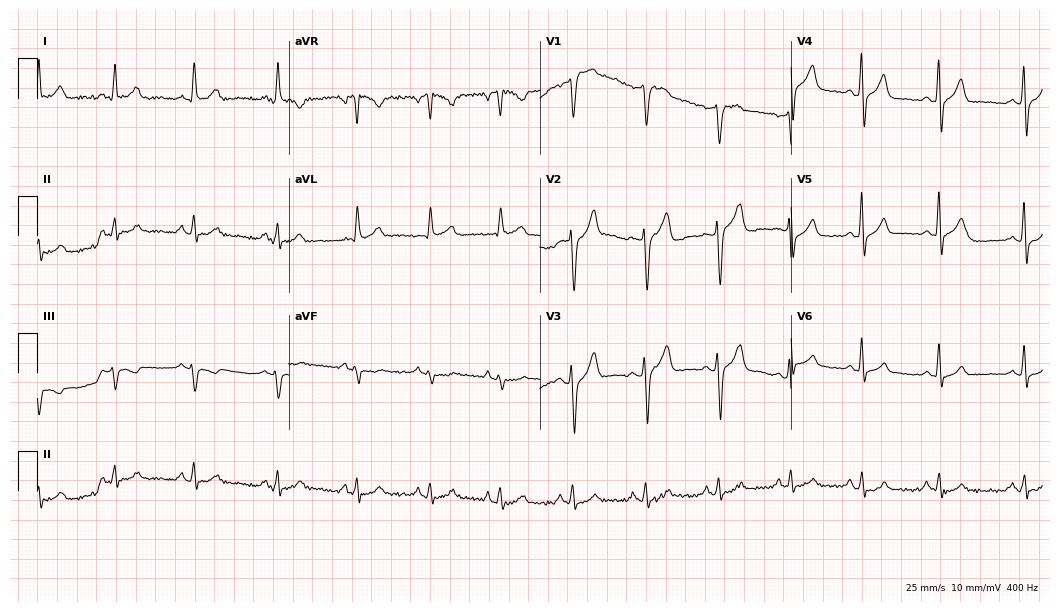
ECG — a 67-year-old male patient. Screened for six findings — first-degree AV block, right bundle branch block, left bundle branch block, sinus bradycardia, atrial fibrillation, sinus tachycardia — none is recorded. Findings outside these six are not listed.